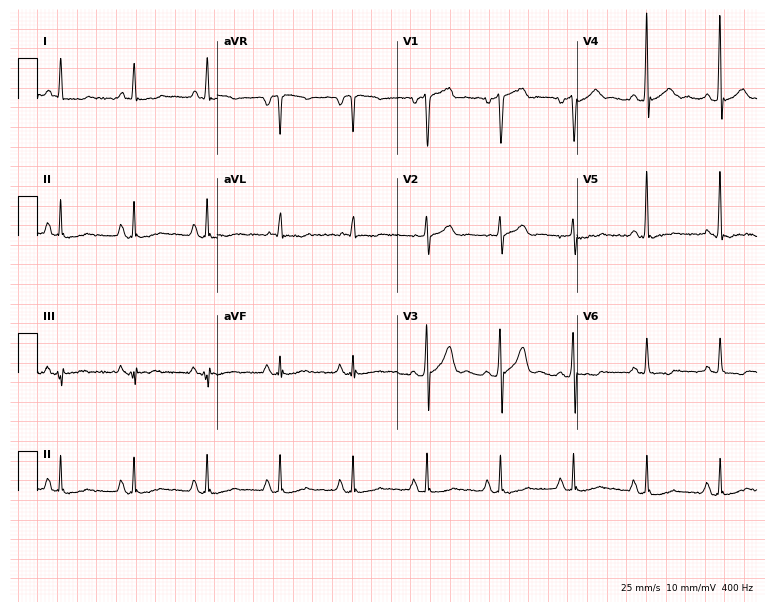
Standard 12-lead ECG recorded from a 55-year-old man (7.3-second recording at 400 Hz). None of these six findings is recorded: first-degree AV block, right bundle branch block, left bundle branch block, sinus bradycardia, atrial fibrillation, sinus tachycardia.